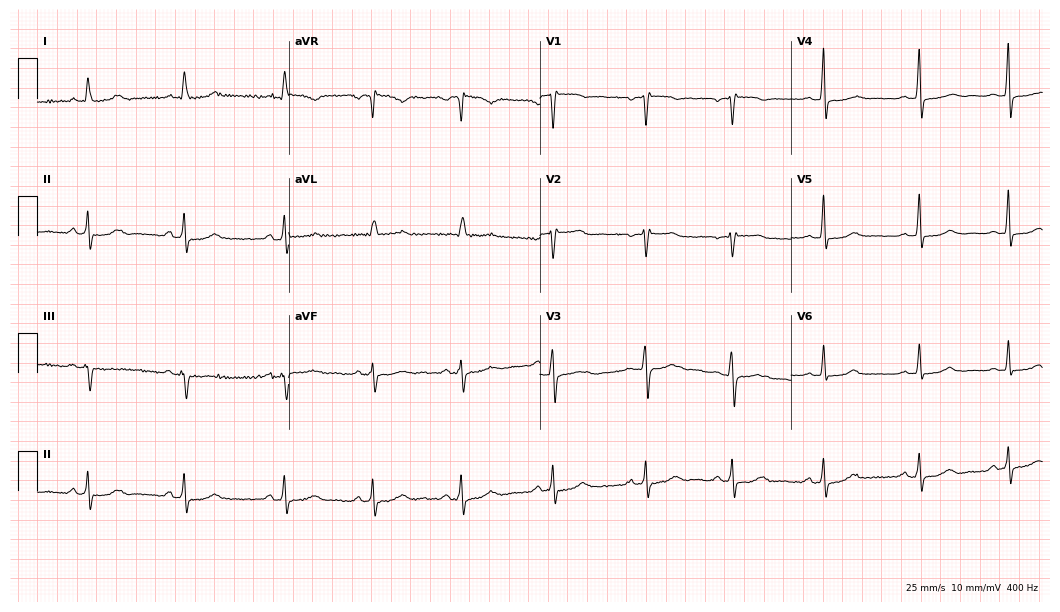
Resting 12-lead electrocardiogram (10.2-second recording at 400 Hz). Patient: a 43-year-old female. Read as a normal ECG.